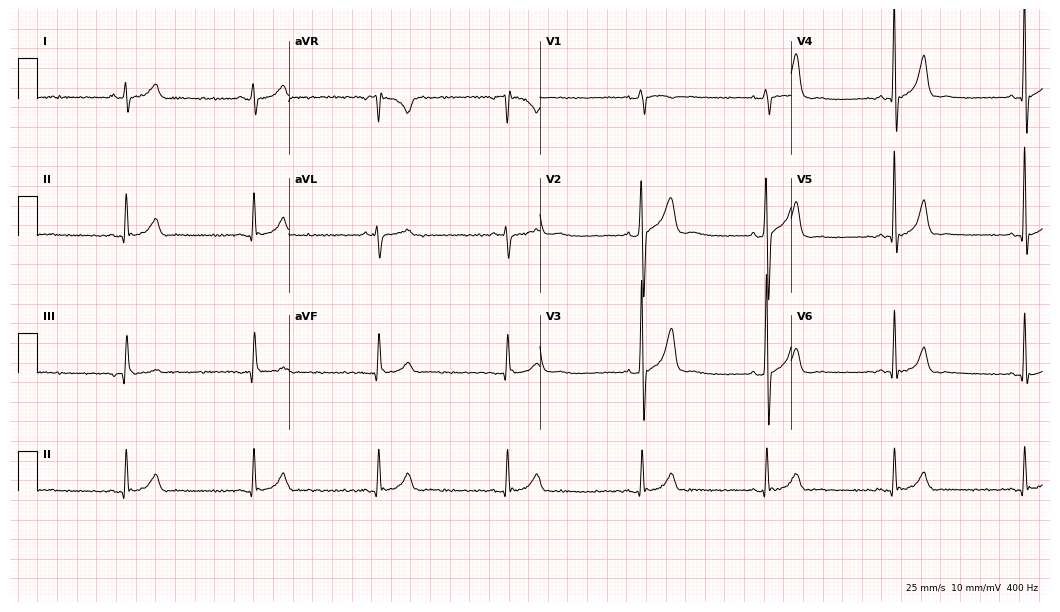
Resting 12-lead electrocardiogram (10.2-second recording at 400 Hz). Patient: a 43-year-old male. The tracing shows sinus bradycardia (a sinus rate of 50 beats per minute or less).